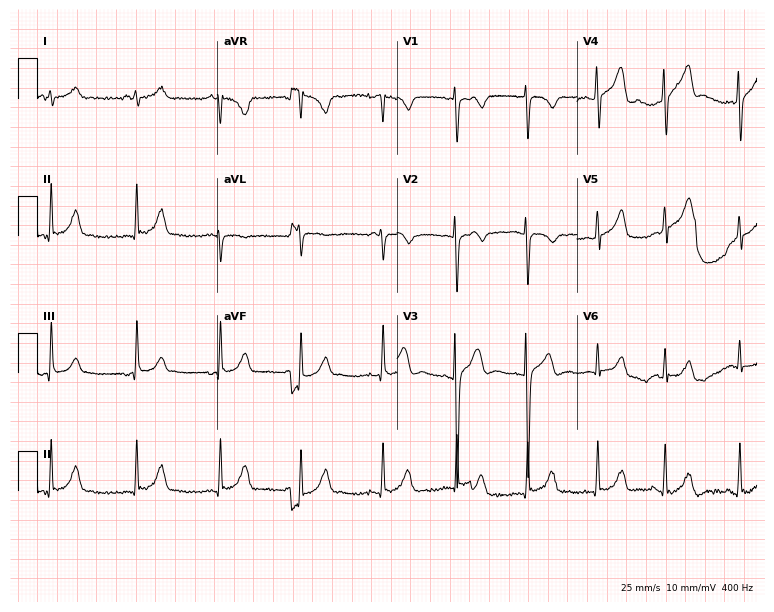
Electrocardiogram, an 18-year-old male. Overall reading on record: normal ECG.